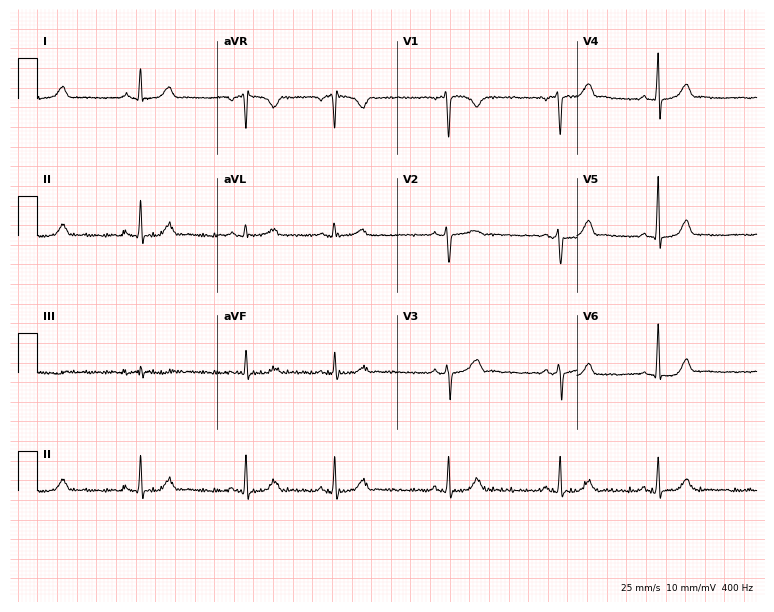
12-lead ECG (7.3-second recording at 400 Hz) from a female patient, 17 years old. Screened for six findings — first-degree AV block, right bundle branch block (RBBB), left bundle branch block (LBBB), sinus bradycardia, atrial fibrillation (AF), sinus tachycardia — none is recorded. Other findings, if any, are not listed.